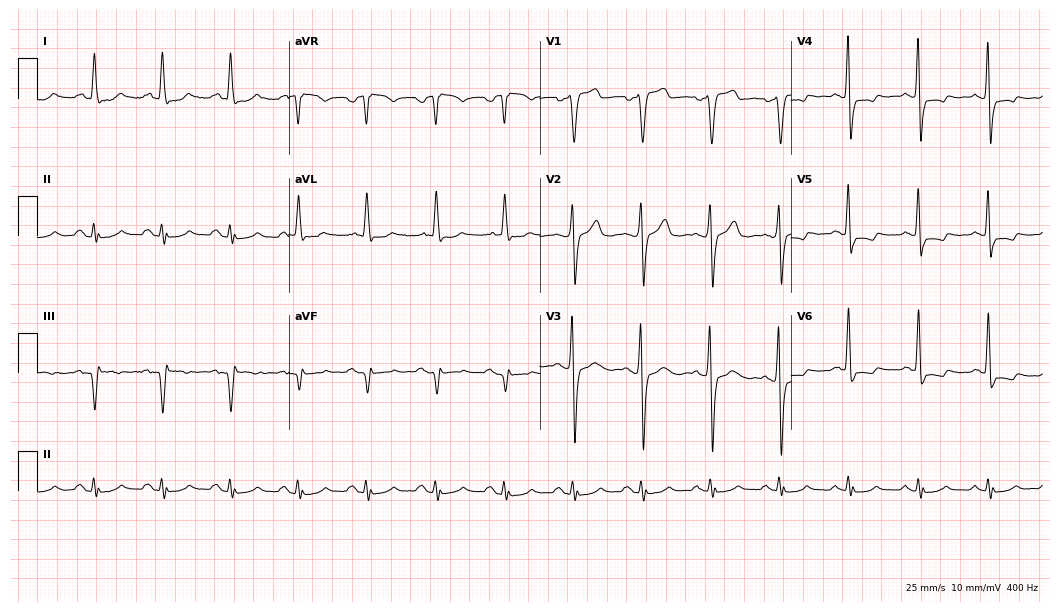
12-lead ECG (10.2-second recording at 400 Hz) from a 51-year-old male patient. Screened for six findings — first-degree AV block, right bundle branch block, left bundle branch block, sinus bradycardia, atrial fibrillation, sinus tachycardia — none is recorded. Other findings, if any, are not listed.